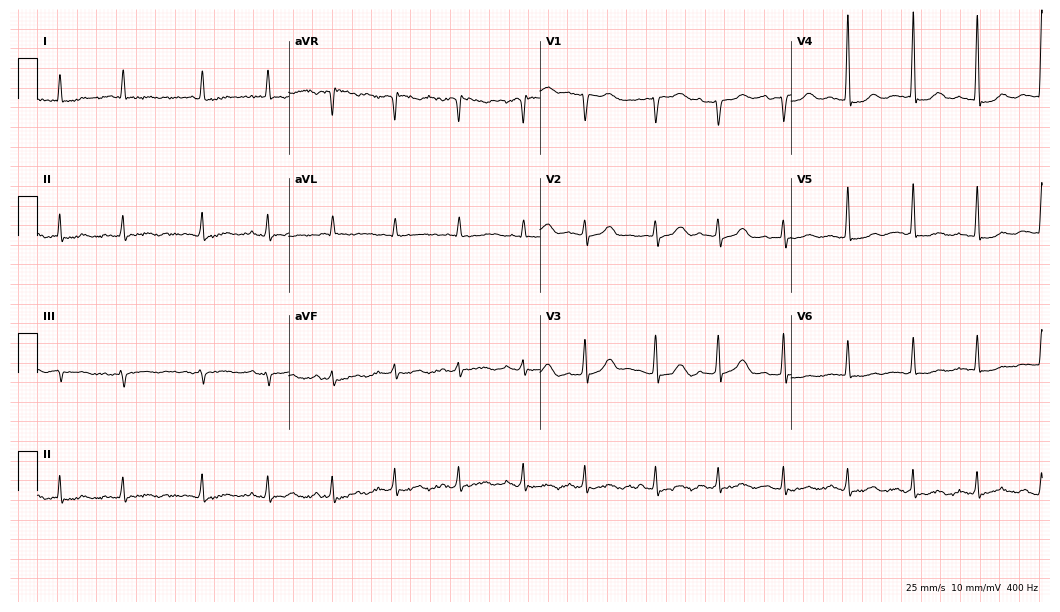
12-lead ECG from an 82-year-old woman. Findings include atrial fibrillation.